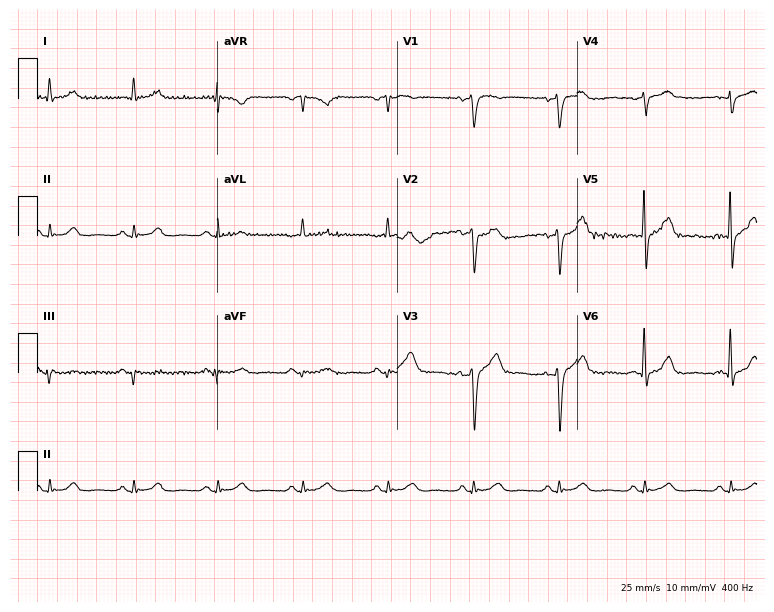
Electrocardiogram (7.3-second recording at 400 Hz), a man, 74 years old. Overall reading on record: normal ECG.